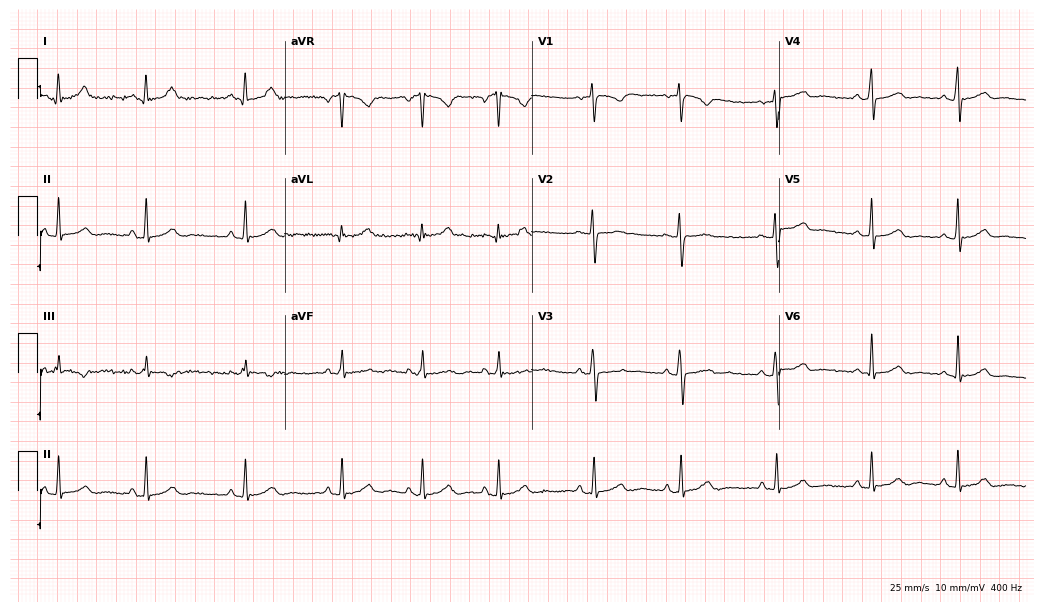
Electrocardiogram (10.1-second recording at 400 Hz), a female patient, 22 years old. Overall reading on record: normal ECG.